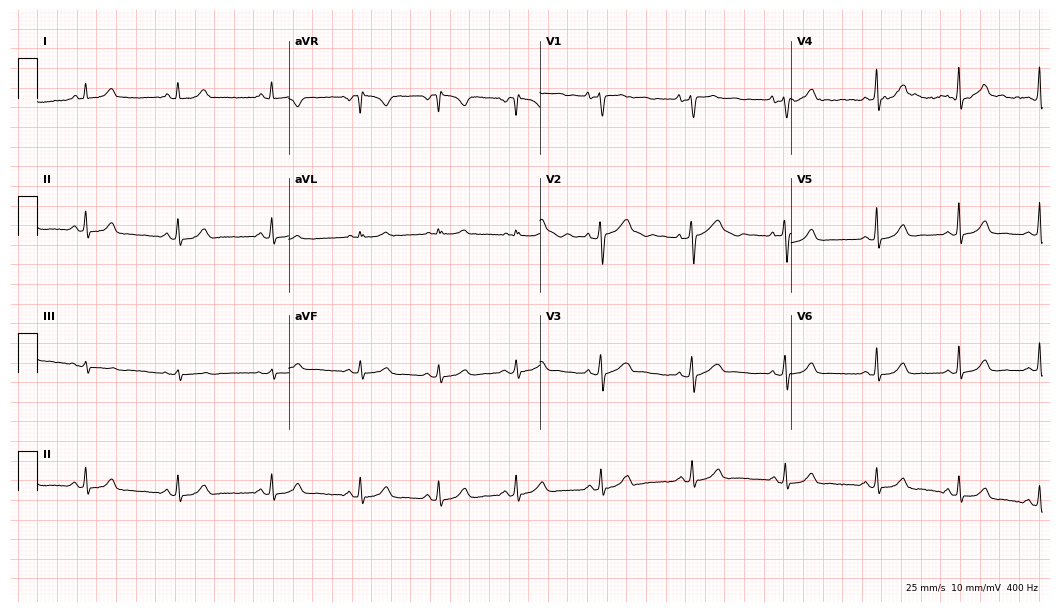
12-lead ECG from a female, 36 years old. Labelled as a normal ECG.